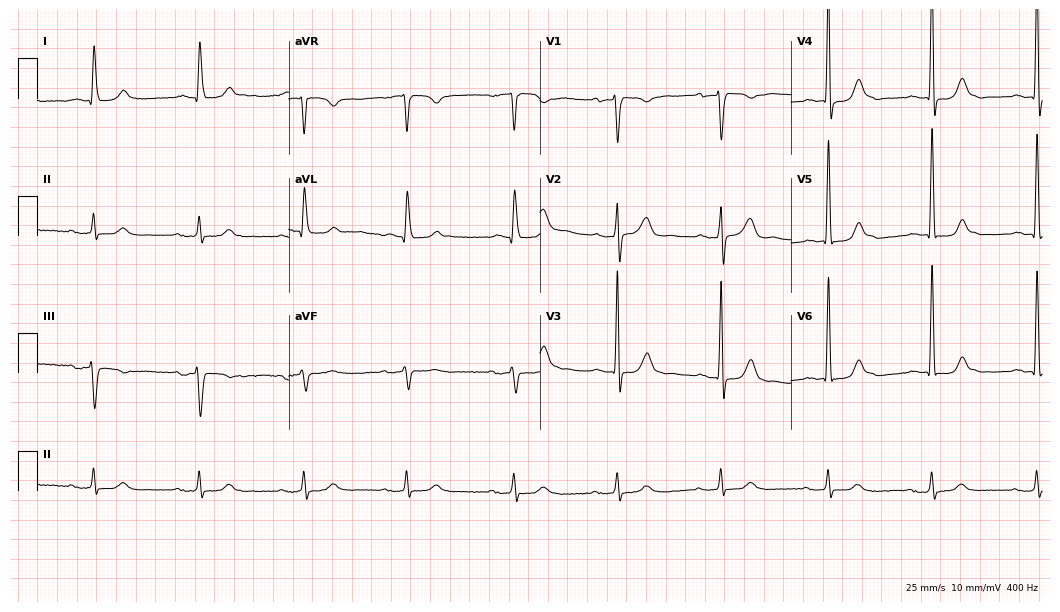
ECG — a female, 71 years old. Findings include first-degree AV block.